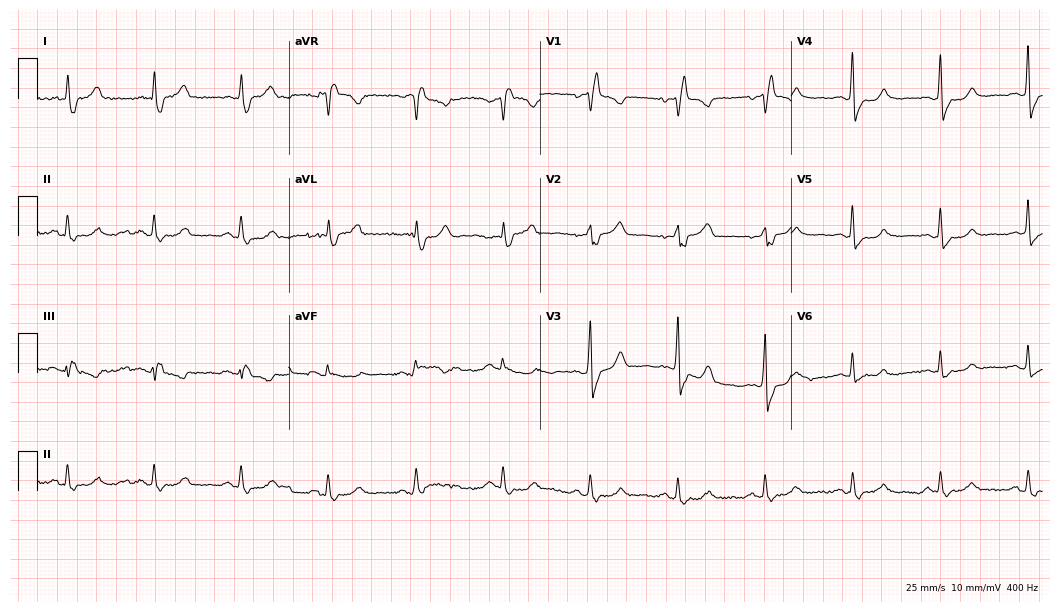
Resting 12-lead electrocardiogram. Patient: an 82-year-old female. None of these six findings is recorded: first-degree AV block, right bundle branch block (RBBB), left bundle branch block (LBBB), sinus bradycardia, atrial fibrillation (AF), sinus tachycardia. Other findings, if any, are not listed.